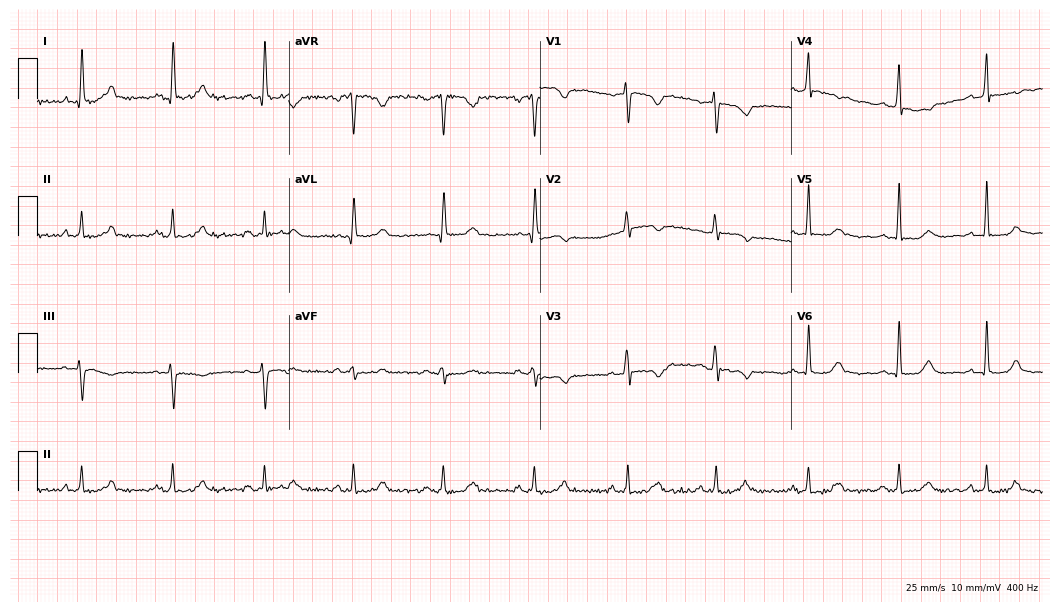
Resting 12-lead electrocardiogram. Patient: a female, 50 years old. Read as a normal ECG.